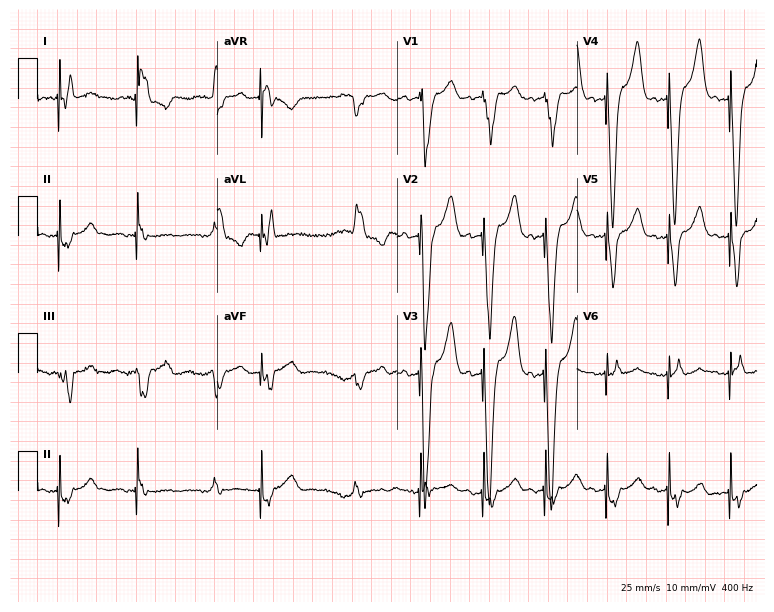
Standard 12-lead ECG recorded from a 68-year-old female (7.3-second recording at 400 Hz). None of these six findings is recorded: first-degree AV block, right bundle branch block, left bundle branch block, sinus bradycardia, atrial fibrillation, sinus tachycardia. Findings outside these six are not listed.